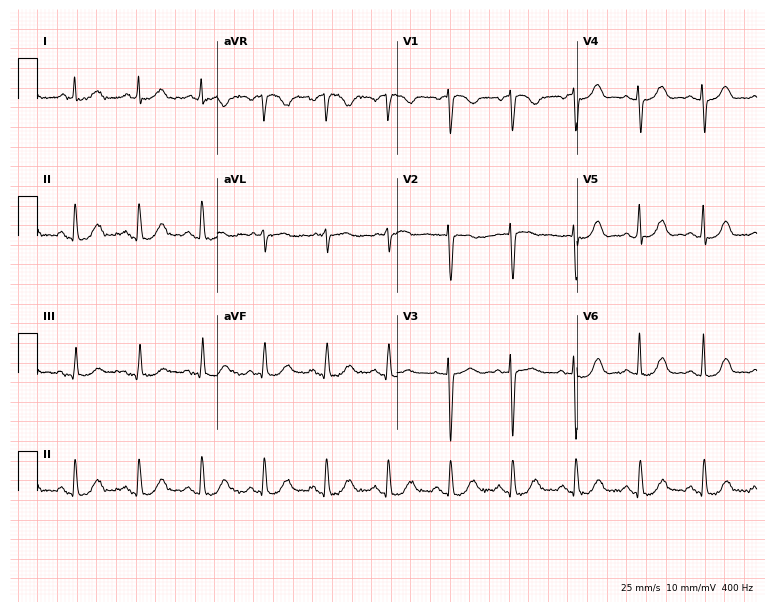
Electrocardiogram (7.3-second recording at 400 Hz), a woman, 84 years old. Of the six screened findings (first-degree AV block, right bundle branch block, left bundle branch block, sinus bradycardia, atrial fibrillation, sinus tachycardia), none is recorded.